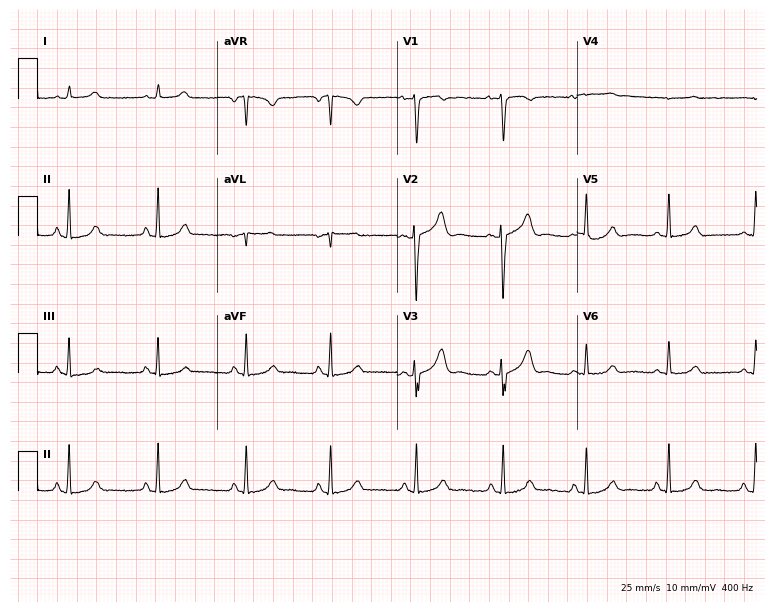
ECG — a 34-year-old female. Labelled as a normal ECG.